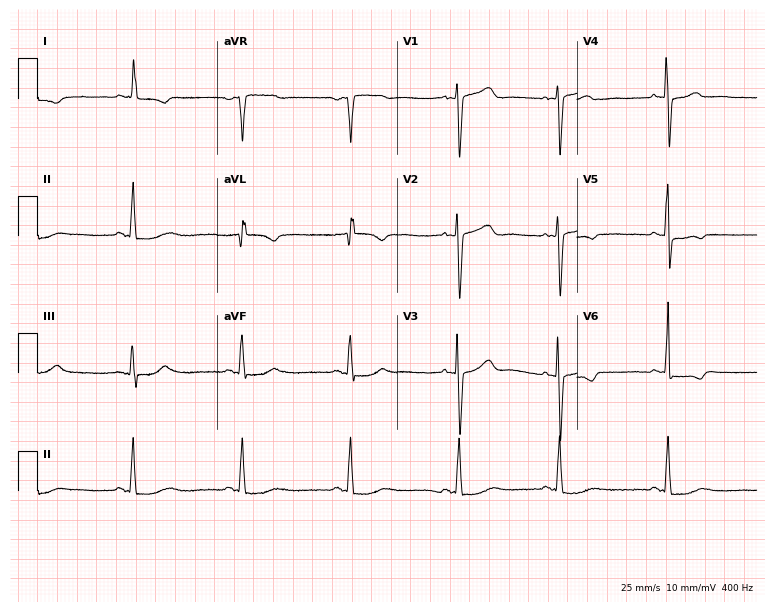
Electrocardiogram (7.3-second recording at 400 Hz), a woman, 76 years old. Of the six screened findings (first-degree AV block, right bundle branch block, left bundle branch block, sinus bradycardia, atrial fibrillation, sinus tachycardia), none is recorded.